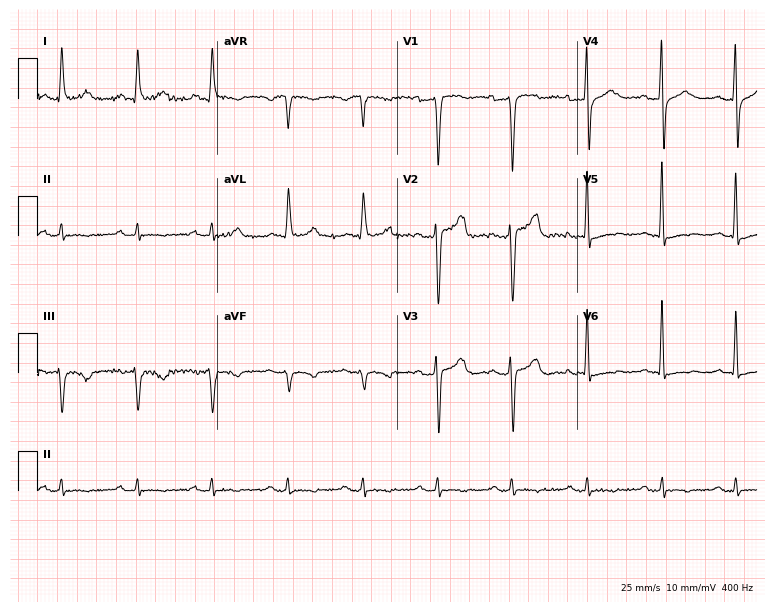
Standard 12-lead ECG recorded from a man, 57 years old (7.3-second recording at 400 Hz). None of these six findings is recorded: first-degree AV block, right bundle branch block (RBBB), left bundle branch block (LBBB), sinus bradycardia, atrial fibrillation (AF), sinus tachycardia. Findings outside these six are not listed.